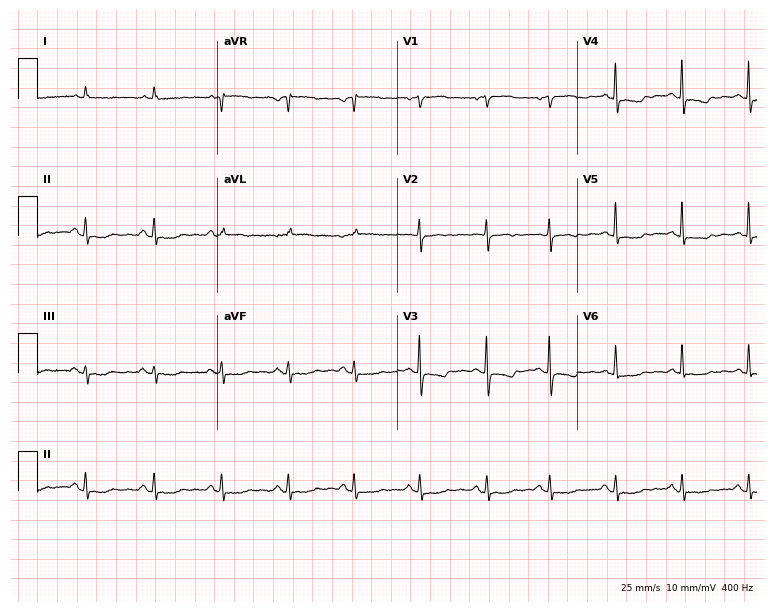
12-lead ECG from a 76-year-old woman (7.3-second recording at 400 Hz). No first-degree AV block, right bundle branch block, left bundle branch block, sinus bradycardia, atrial fibrillation or sinus tachycardia recorded for this tracing.